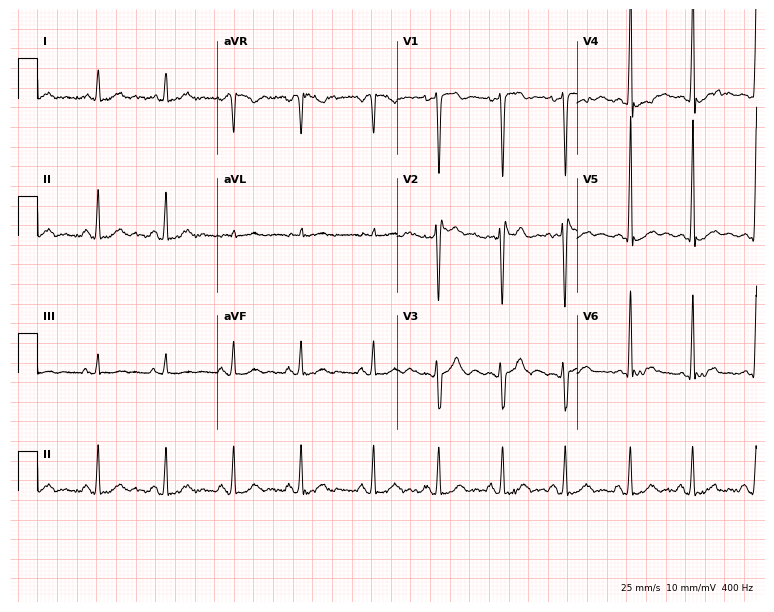
Electrocardiogram, a 17-year-old male. Of the six screened findings (first-degree AV block, right bundle branch block, left bundle branch block, sinus bradycardia, atrial fibrillation, sinus tachycardia), none is recorded.